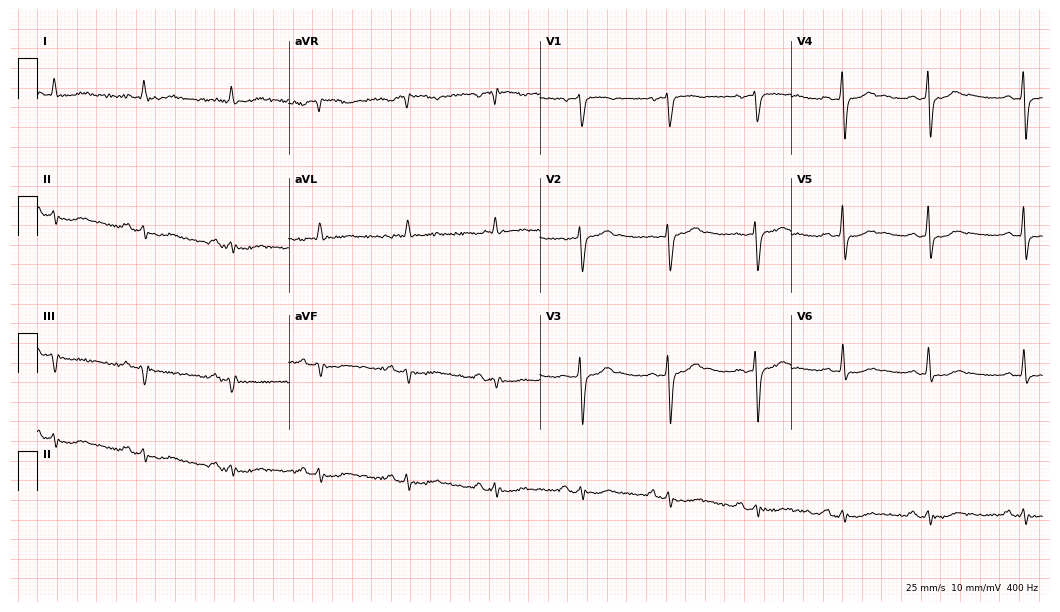
12-lead ECG from a 74-year-old male. Recorded interpretation: within normal limits.